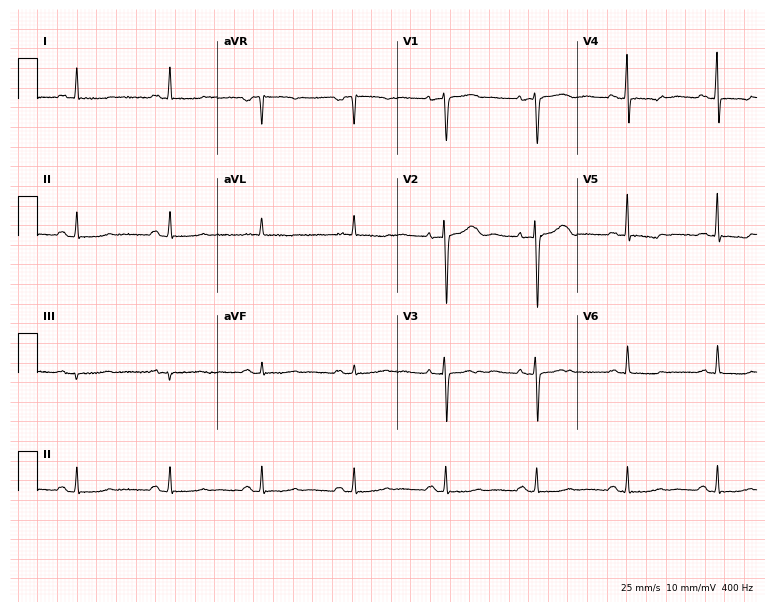
Standard 12-lead ECG recorded from a female, 81 years old (7.3-second recording at 400 Hz). Read as a normal ECG.